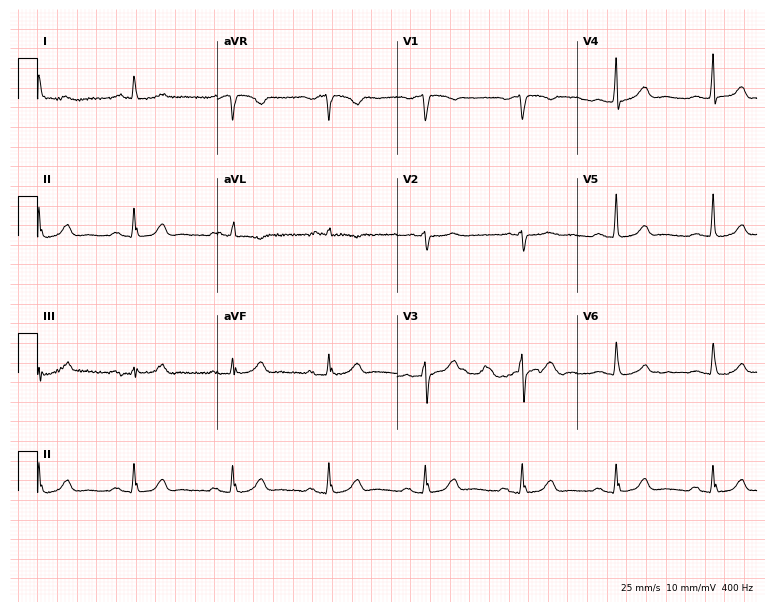
12-lead ECG from a female patient, 72 years old. Recorded interpretation: within normal limits.